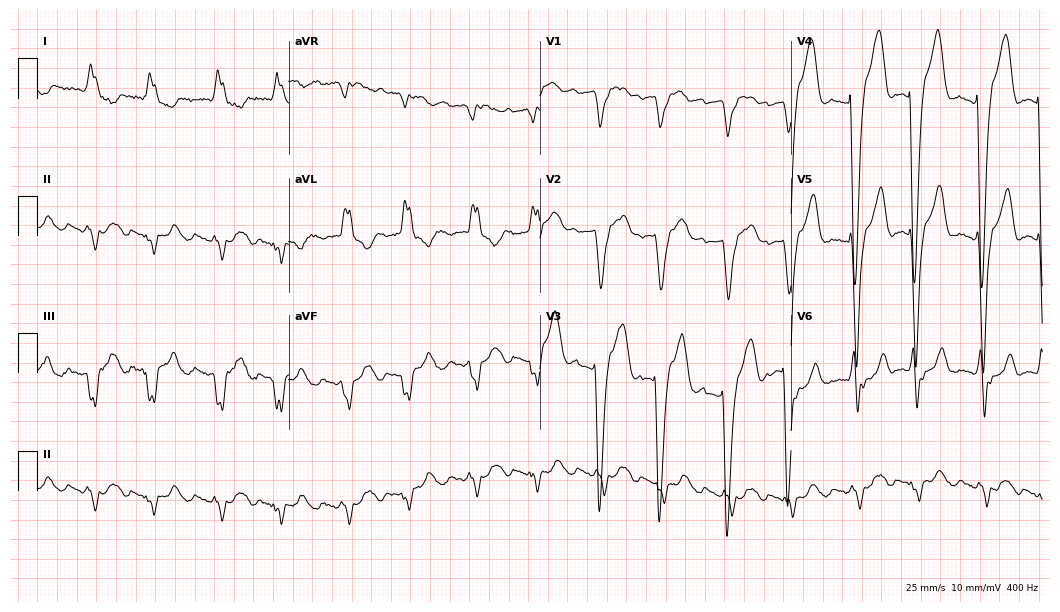
12-lead ECG from an 85-year-old male patient. Shows left bundle branch block.